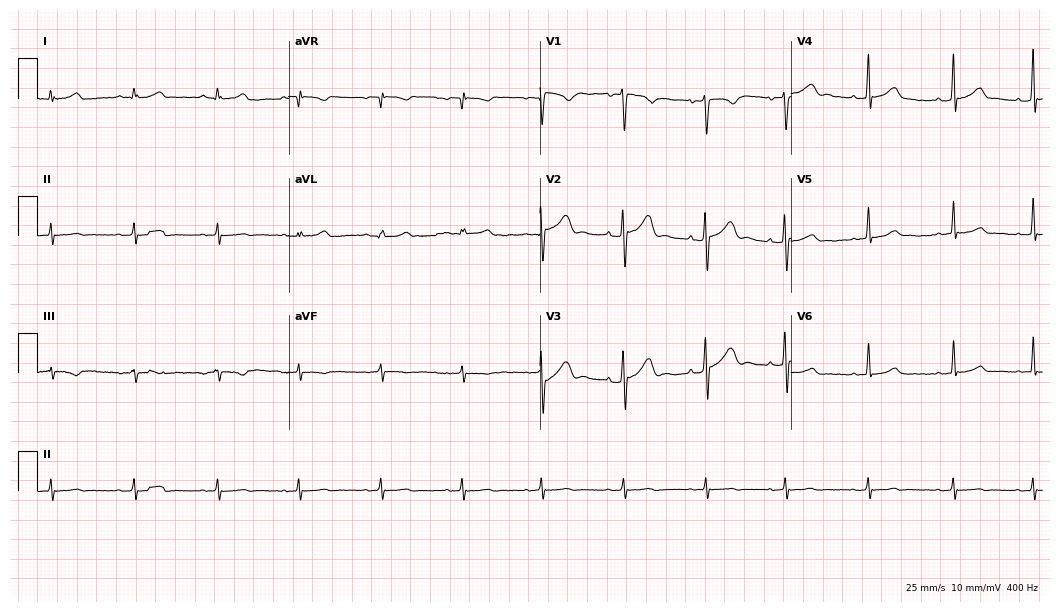
12-lead ECG from a female, 22 years old. No first-degree AV block, right bundle branch block, left bundle branch block, sinus bradycardia, atrial fibrillation or sinus tachycardia recorded for this tracing.